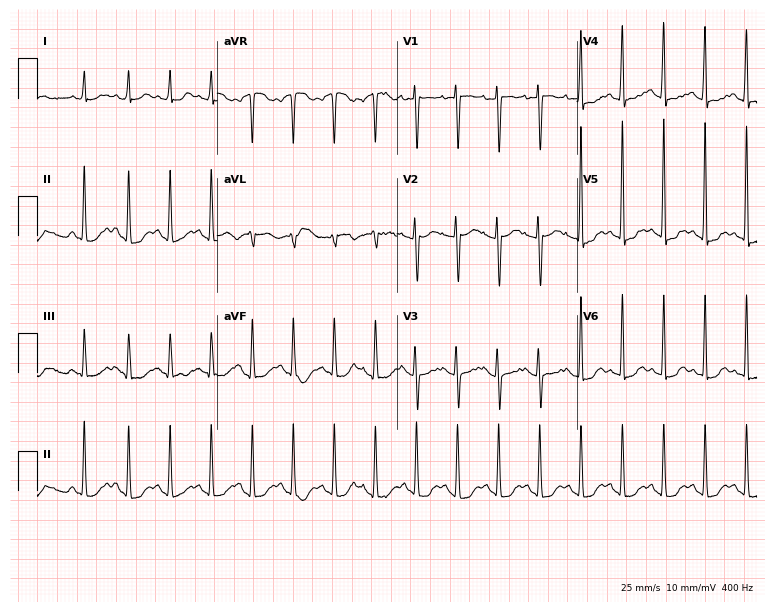
Resting 12-lead electrocardiogram (7.3-second recording at 400 Hz). Patient: a female, 61 years old. The tracing shows sinus tachycardia (a sinus rate of 100 beats per minute or more).